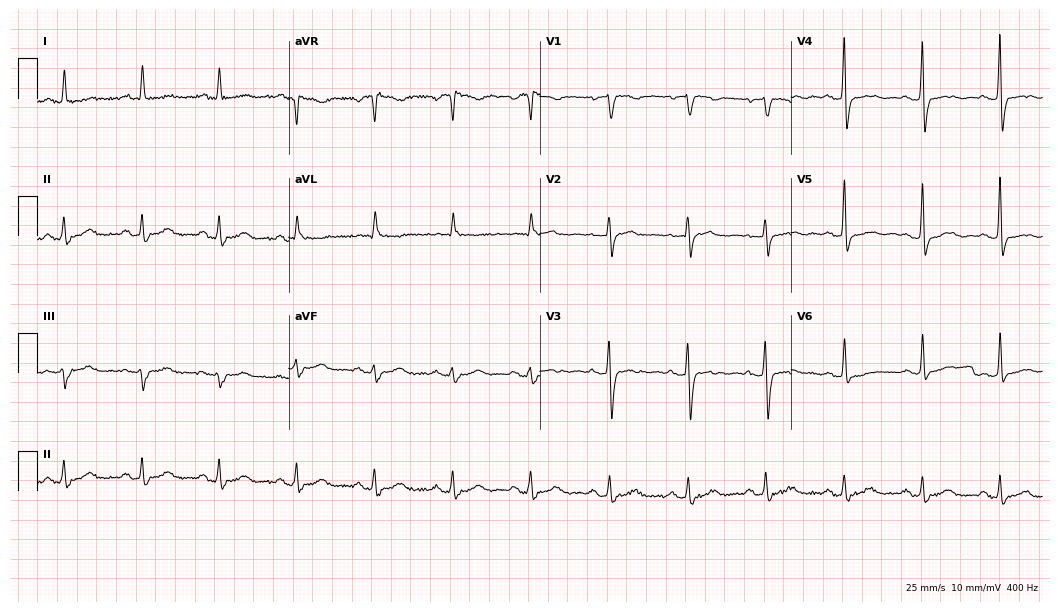
12-lead ECG (10.2-second recording at 400 Hz) from a female, 75 years old. Screened for six findings — first-degree AV block, right bundle branch block (RBBB), left bundle branch block (LBBB), sinus bradycardia, atrial fibrillation (AF), sinus tachycardia — none is recorded.